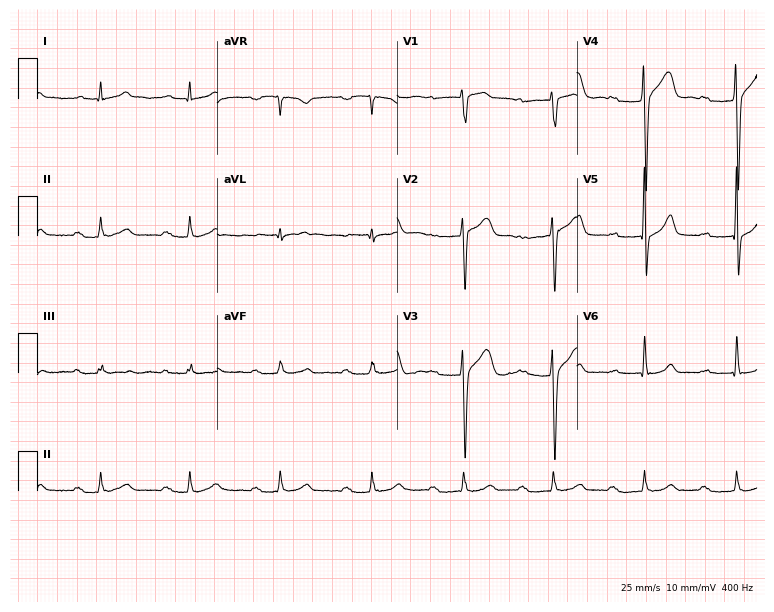
Resting 12-lead electrocardiogram (7.3-second recording at 400 Hz). Patient: a 35-year-old man. The tracing shows first-degree AV block.